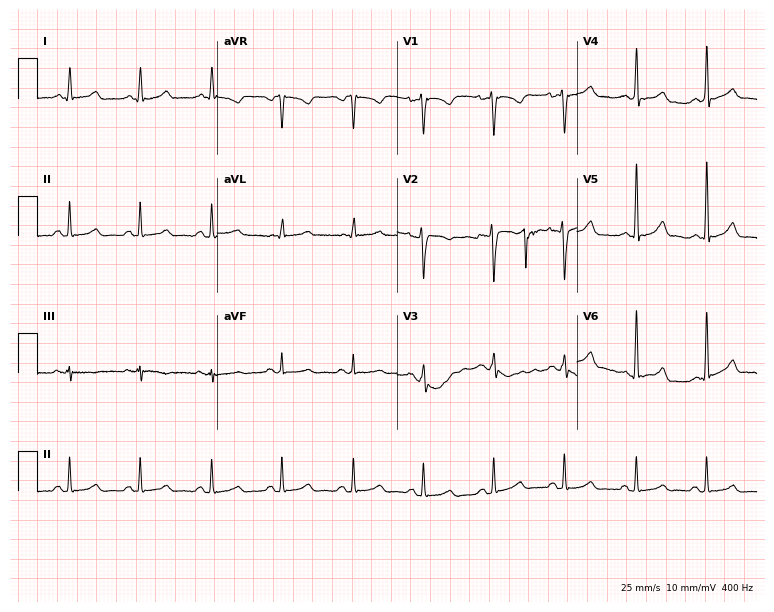
12-lead ECG (7.3-second recording at 400 Hz) from a 38-year-old female patient. Labelled as a normal ECG.